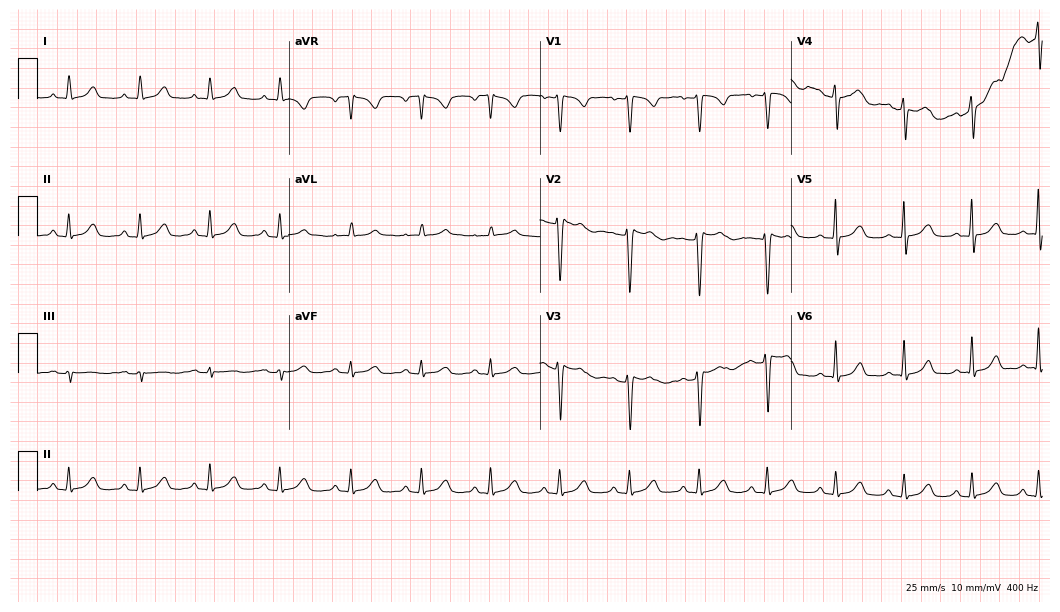
Standard 12-lead ECG recorded from a woman, 29 years old (10.2-second recording at 400 Hz). Read as a normal ECG.